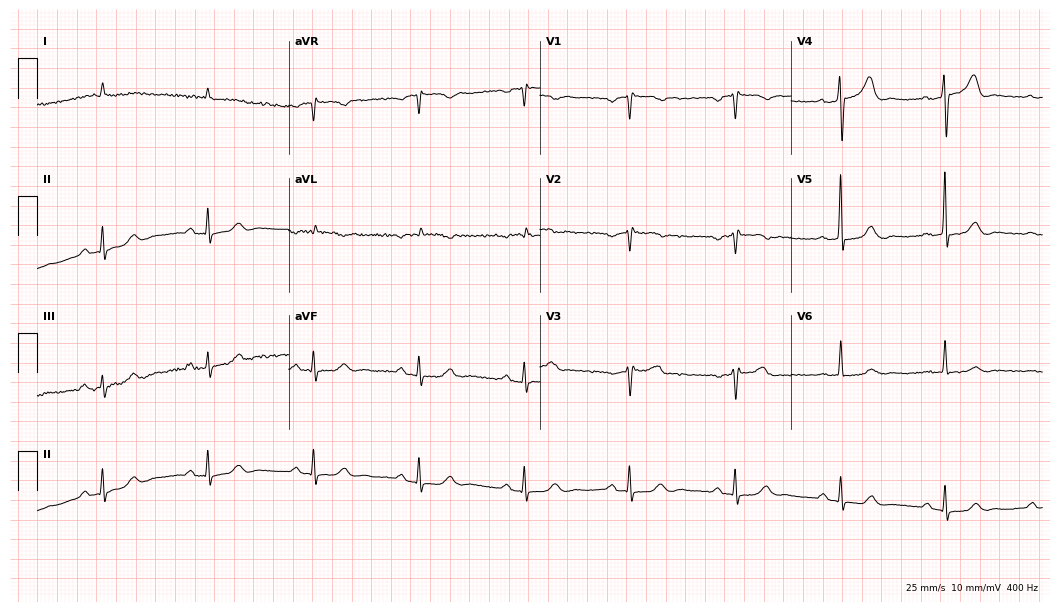
Resting 12-lead electrocardiogram. Patient: an 84-year-old man. None of these six findings is recorded: first-degree AV block, right bundle branch block, left bundle branch block, sinus bradycardia, atrial fibrillation, sinus tachycardia.